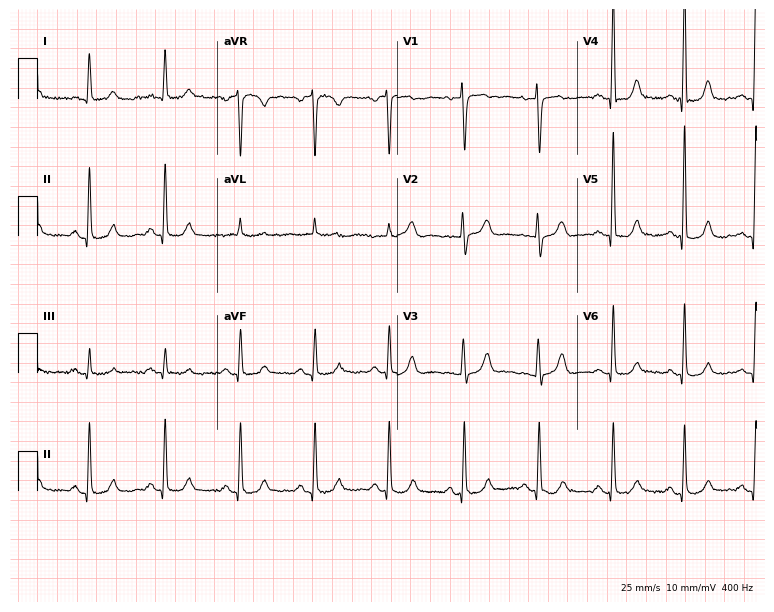
Resting 12-lead electrocardiogram. Patient: a female, 78 years old. None of these six findings is recorded: first-degree AV block, right bundle branch block, left bundle branch block, sinus bradycardia, atrial fibrillation, sinus tachycardia.